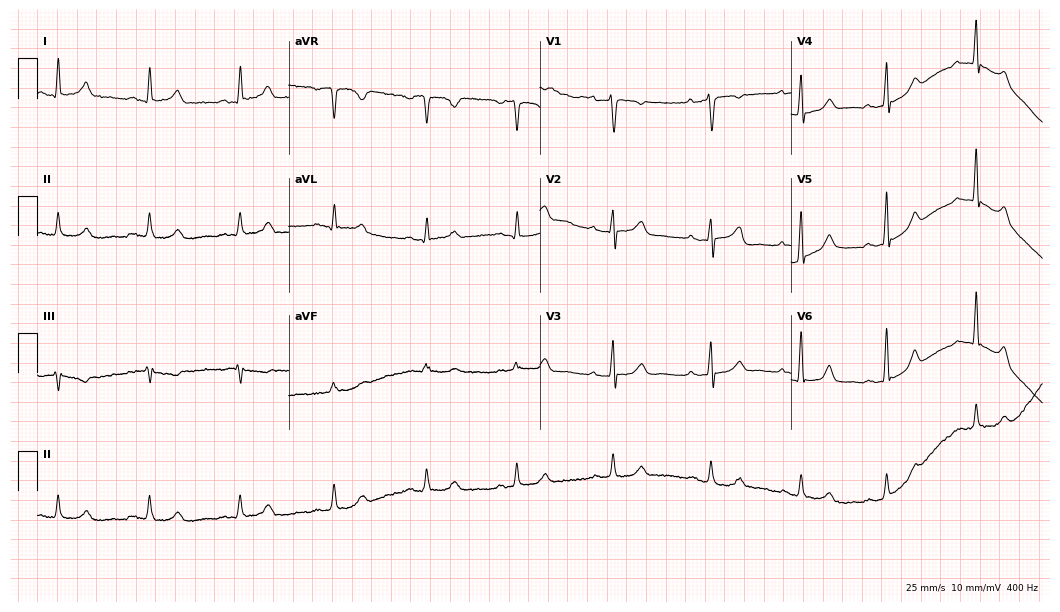
12-lead ECG from a male patient, 54 years old (10.2-second recording at 400 Hz). Recorded interpretation: within normal limits.